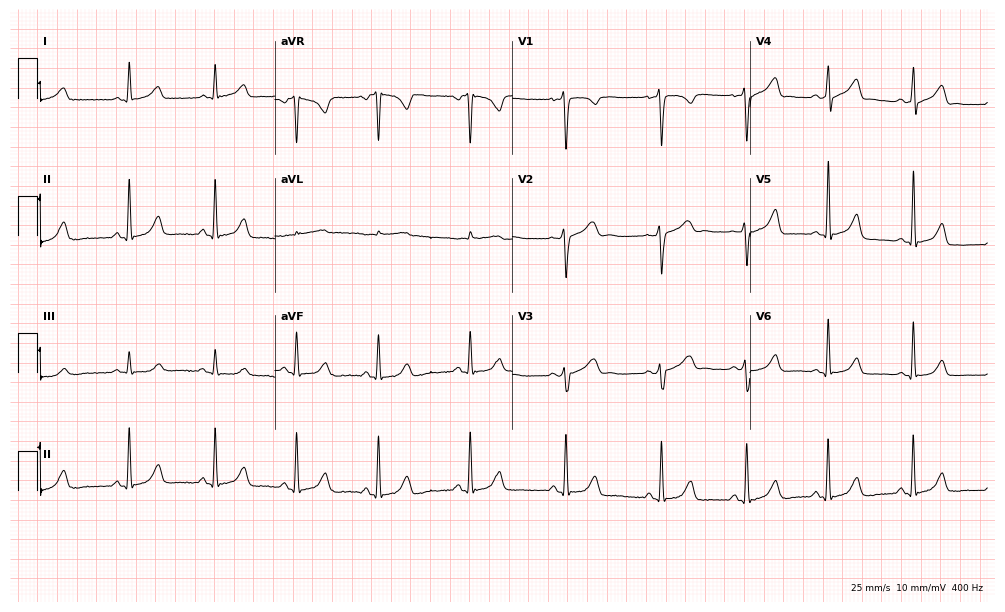
Resting 12-lead electrocardiogram. Patient: a woman, 21 years old. Read as a normal ECG.